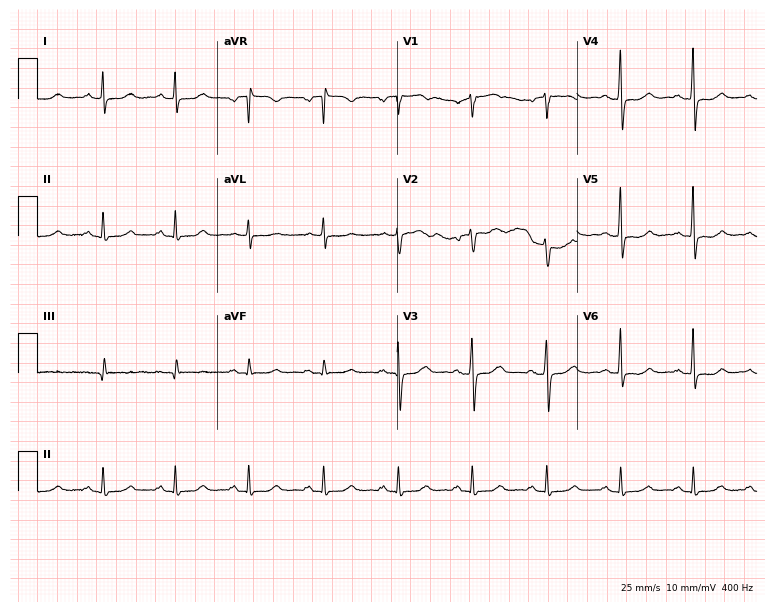
12-lead ECG (7.3-second recording at 400 Hz) from a 59-year-old female patient. Screened for six findings — first-degree AV block, right bundle branch block, left bundle branch block, sinus bradycardia, atrial fibrillation, sinus tachycardia — none is recorded. Findings outside these six are not listed.